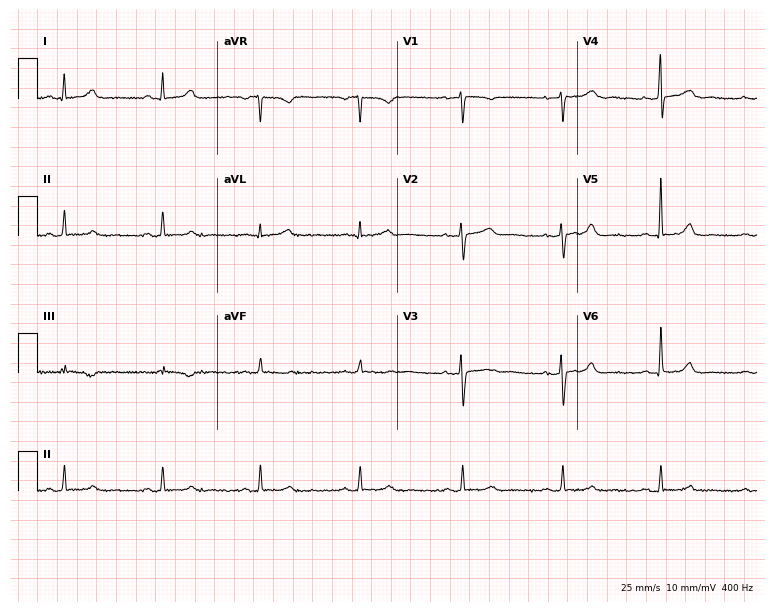
12-lead ECG from a 42-year-old woman (7.3-second recording at 400 Hz). No first-degree AV block, right bundle branch block (RBBB), left bundle branch block (LBBB), sinus bradycardia, atrial fibrillation (AF) or sinus tachycardia recorded for this tracing.